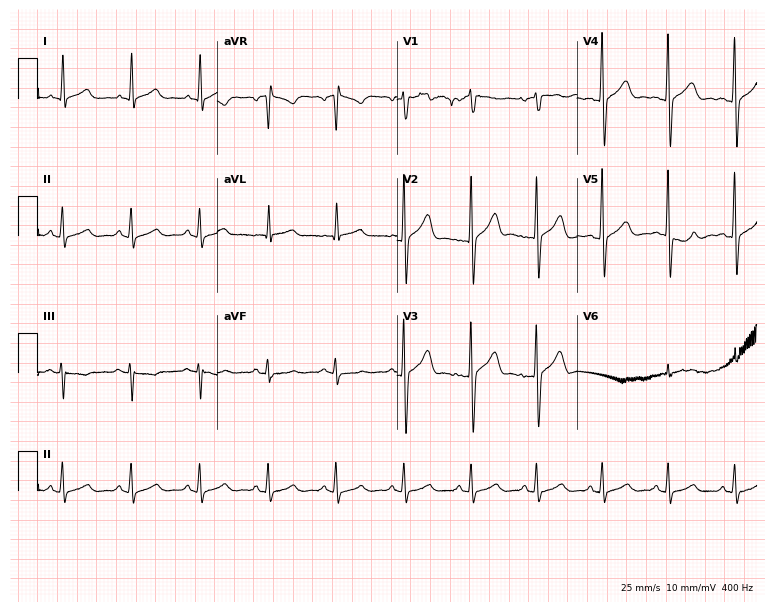
Standard 12-lead ECG recorded from a 38-year-old male patient (7.3-second recording at 400 Hz). Read as a normal ECG.